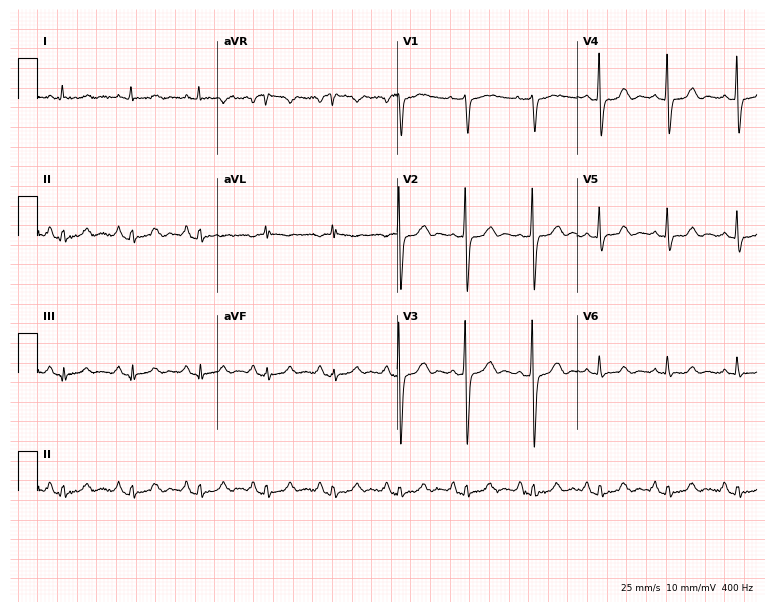
Electrocardiogram (7.3-second recording at 400 Hz), a 76-year-old woman. Of the six screened findings (first-degree AV block, right bundle branch block, left bundle branch block, sinus bradycardia, atrial fibrillation, sinus tachycardia), none is recorded.